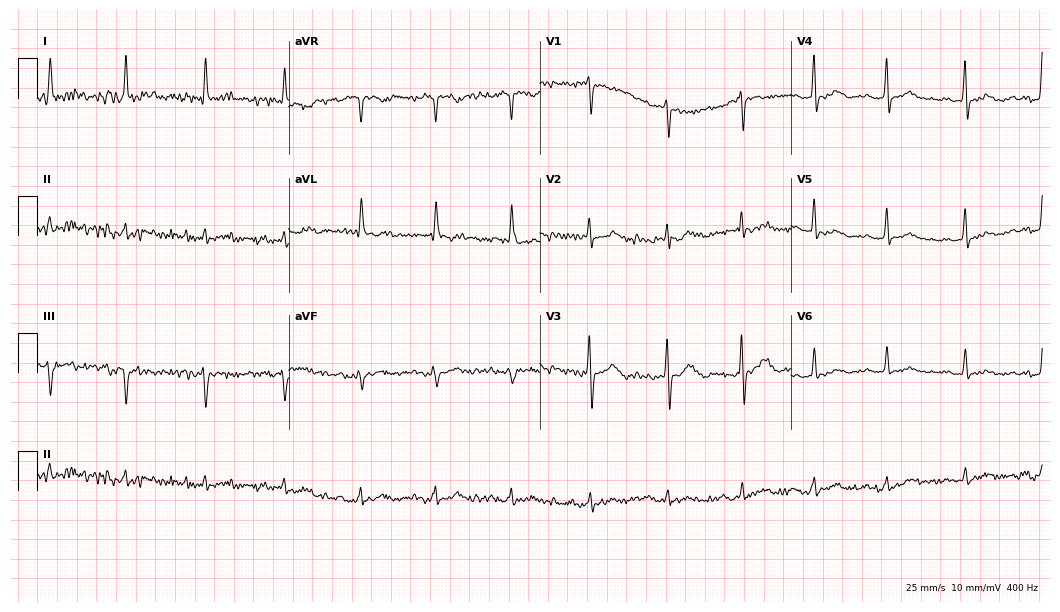
12-lead ECG (10.2-second recording at 400 Hz) from a 77-year-old woman. Screened for six findings — first-degree AV block, right bundle branch block (RBBB), left bundle branch block (LBBB), sinus bradycardia, atrial fibrillation (AF), sinus tachycardia — none is recorded.